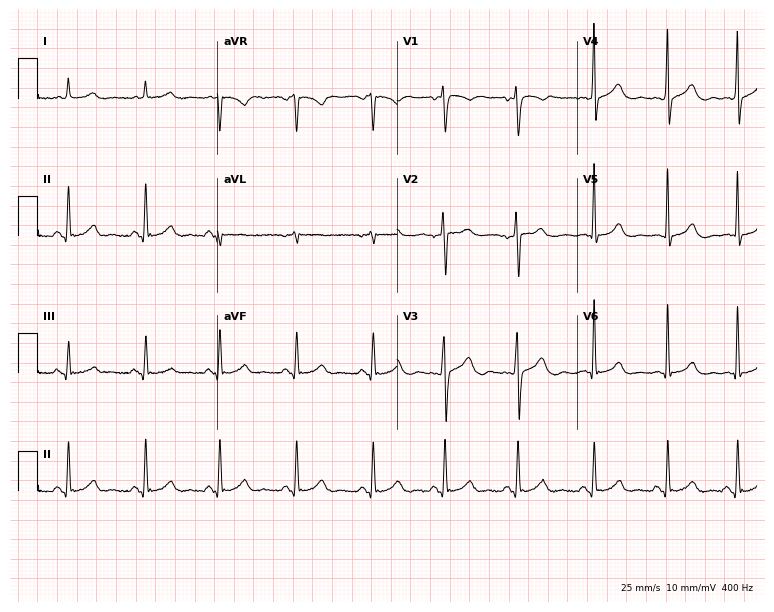
Standard 12-lead ECG recorded from a male, 44 years old. None of these six findings is recorded: first-degree AV block, right bundle branch block, left bundle branch block, sinus bradycardia, atrial fibrillation, sinus tachycardia. Findings outside these six are not listed.